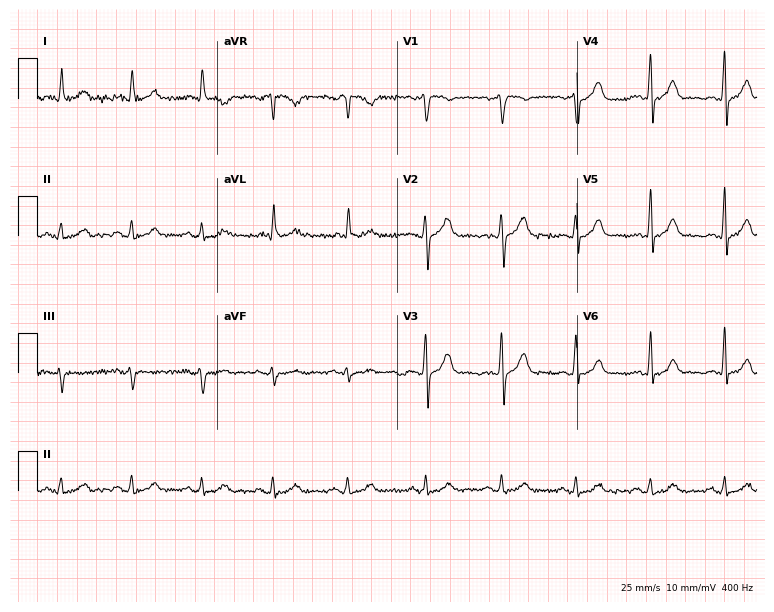
12-lead ECG from a male, 57 years old (7.3-second recording at 400 Hz). No first-degree AV block, right bundle branch block (RBBB), left bundle branch block (LBBB), sinus bradycardia, atrial fibrillation (AF) or sinus tachycardia recorded for this tracing. Only these six findings were labelled.